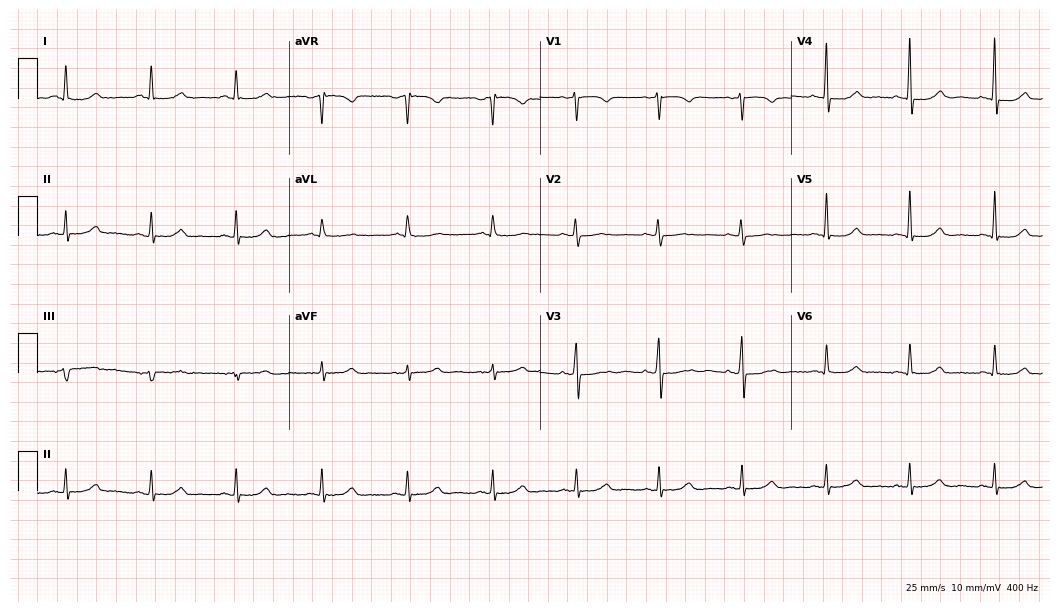
Resting 12-lead electrocardiogram (10.2-second recording at 400 Hz). Patient: a woman, 60 years old. Read as a normal ECG.